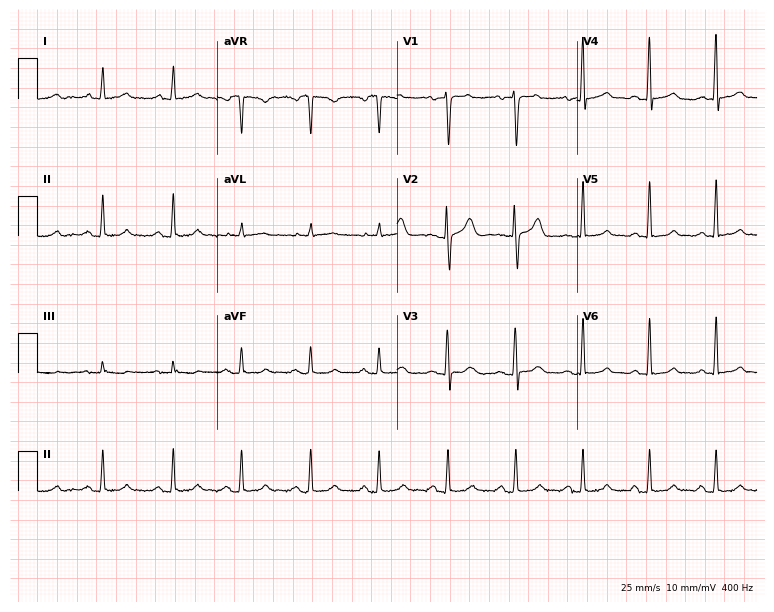
Standard 12-lead ECG recorded from a woman, 38 years old. None of these six findings is recorded: first-degree AV block, right bundle branch block, left bundle branch block, sinus bradycardia, atrial fibrillation, sinus tachycardia.